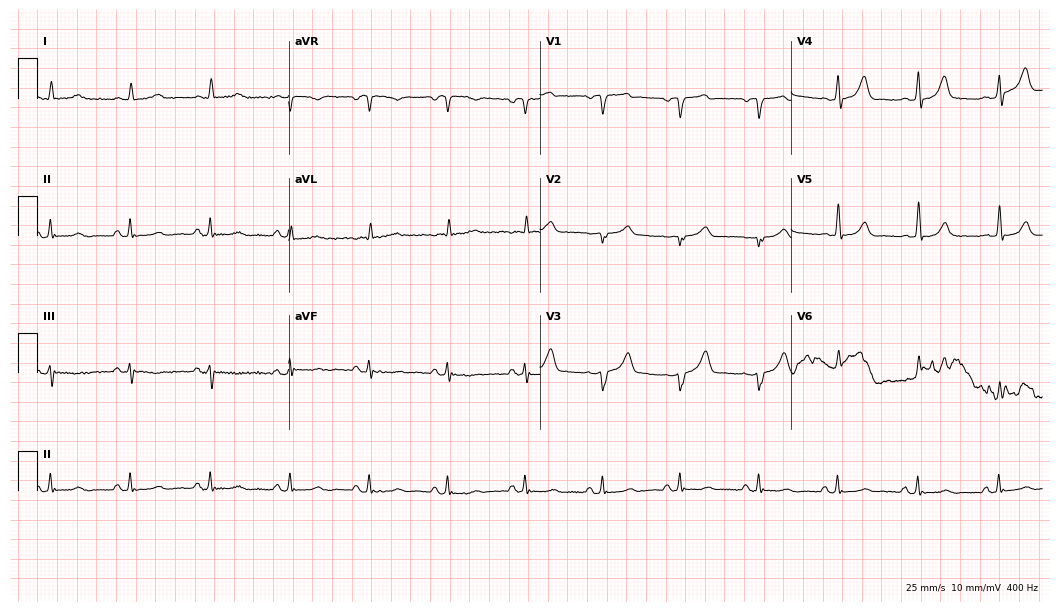
Electrocardiogram, a male, 75 years old. Of the six screened findings (first-degree AV block, right bundle branch block, left bundle branch block, sinus bradycardia, atrial fibrillation, sinus tachycardia), none is recorded. Only these six findings were labelled.